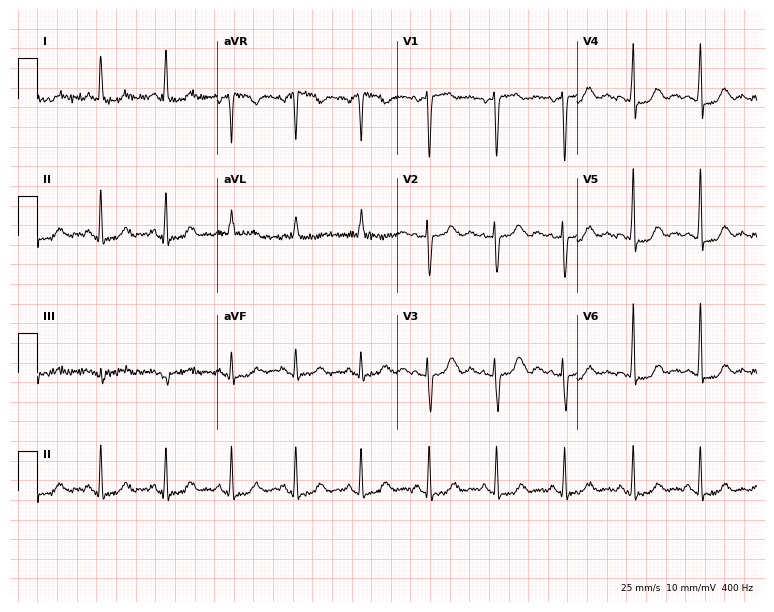
12-lead ECG from a 48-year-old woman (7.3-second recording at 400 Hz). No first-degree AV block, right bundle branch block, left bundle branch block, sinus bradycardia, atrial fibrillation or sinus tachycardia recorded for this tracing. Other findings, if any, are not listed.